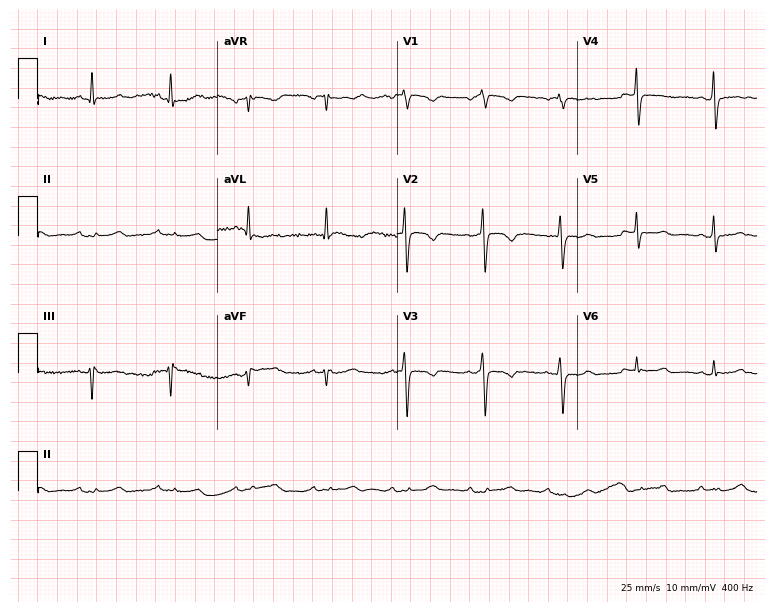
Electrocardiogram, a 64-year-old female patient. Of the six screened findings (first-degree AV block, right bundle branch block, left bundle branch block, sinus bradycardia, atrial fibrillation, sinus tachycardia), none is recorded.